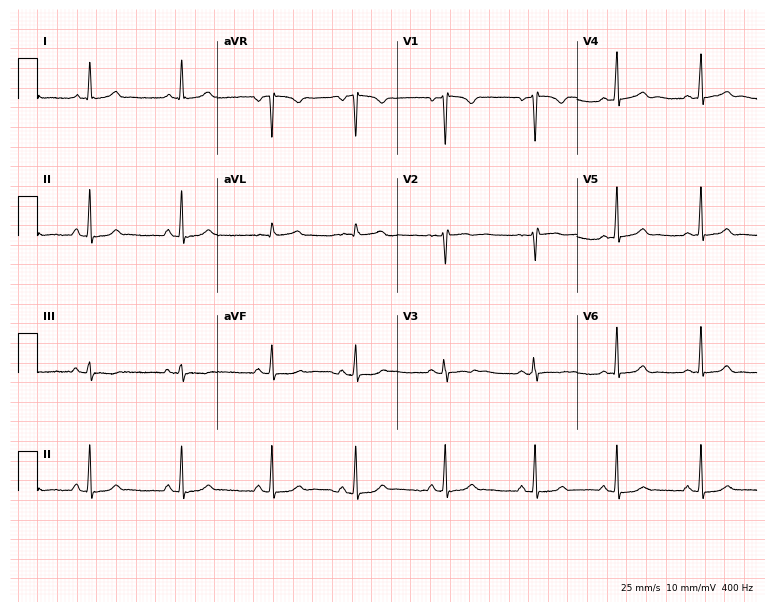
ECG — a 17-year-old female. Labelled as a normal ECG.